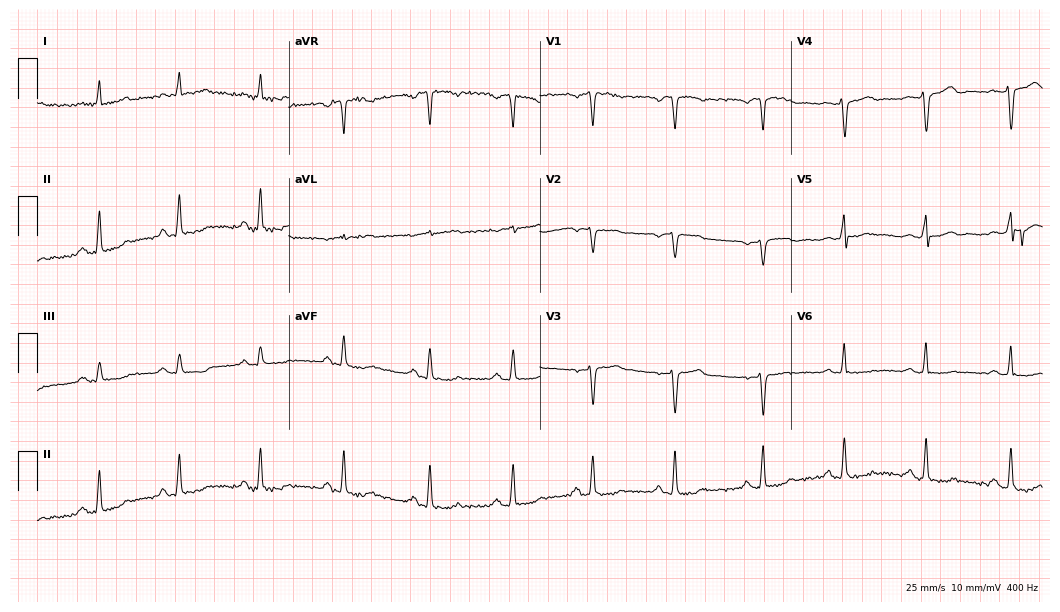
Standard 12-lead ECG recorded from a woman, 45 years old. None of these six findings is recorded: first-degree AV block, right bundle branch block, left bundle branch block, sinus bradycardia, atrial fibrillation, sinus tachycardia.